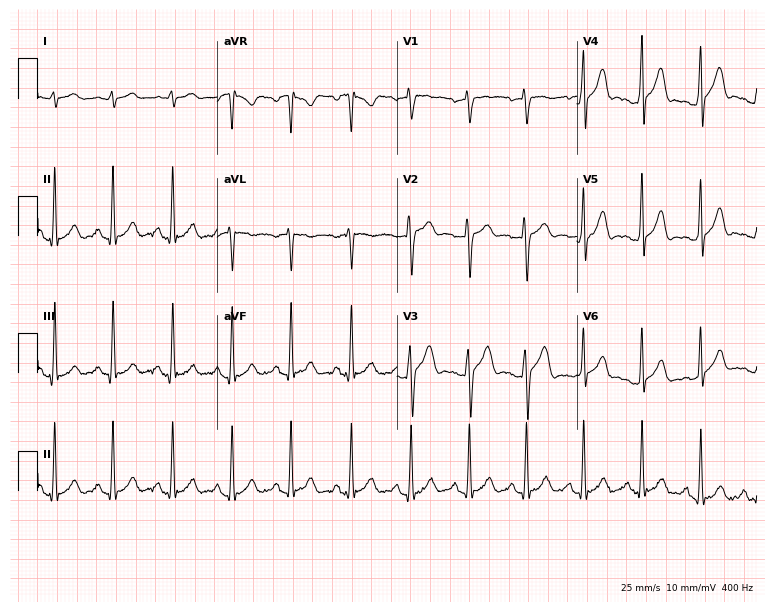
12-lead ECG from a 27-year-old male. Recorded interpretation: within normal limits.